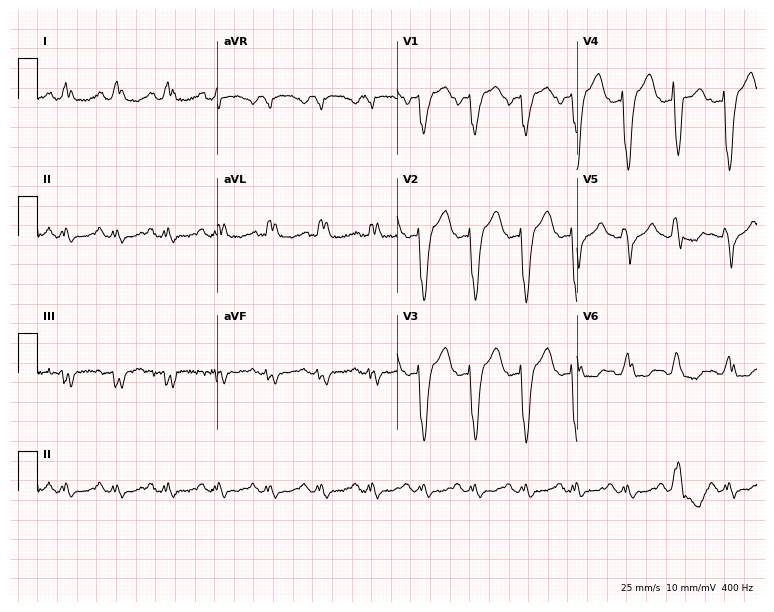
12-lead ECG from a 48-year-old male patient. Findings include left bundle branch block.